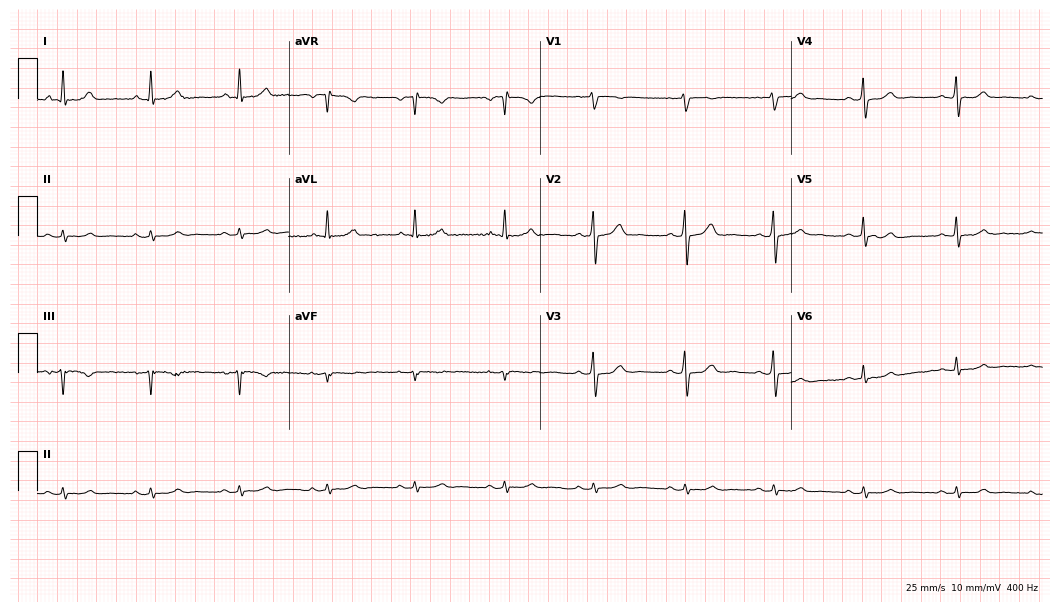
12-lead ECG from a male, 58 years old. Screened for six findings — first-degree AV block, right bundle branch block, left bundle branch block, sinus bradycardia, atrial fibrillation, sinus tachycardia — none is recorded.